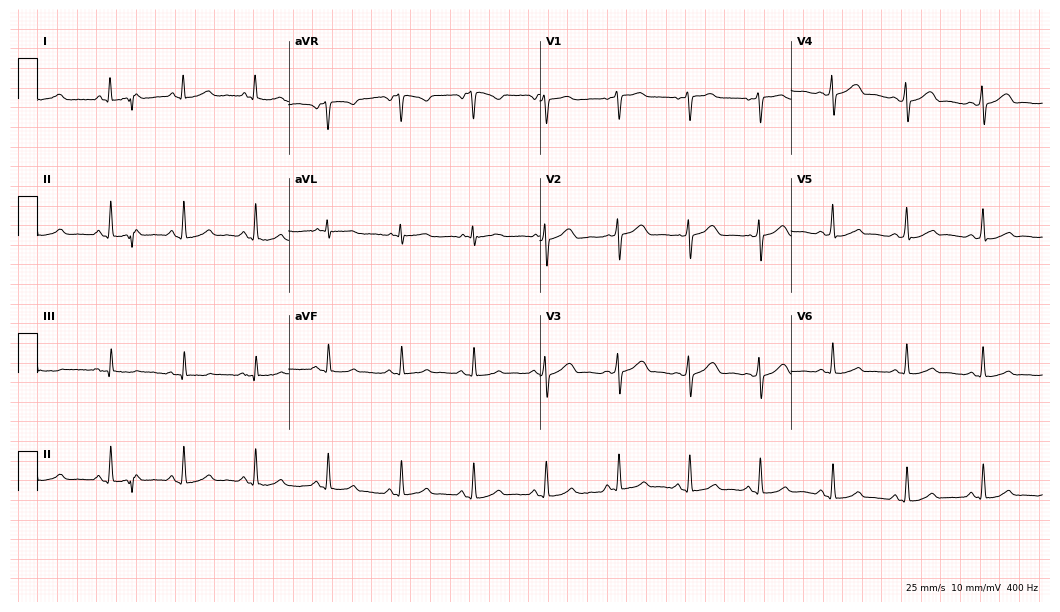
Electrocardiogram (10.2-second recording at 400 Hz), a 49-year-old woman. Overall reading on record: normal ECG.